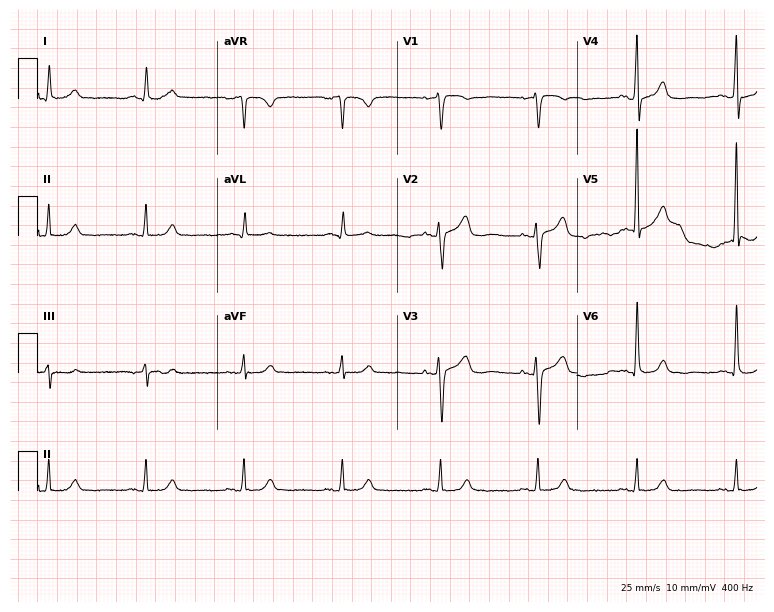
Standard 12-lead ECG recorded from a 79-year-old female. Read as a normal ECG.